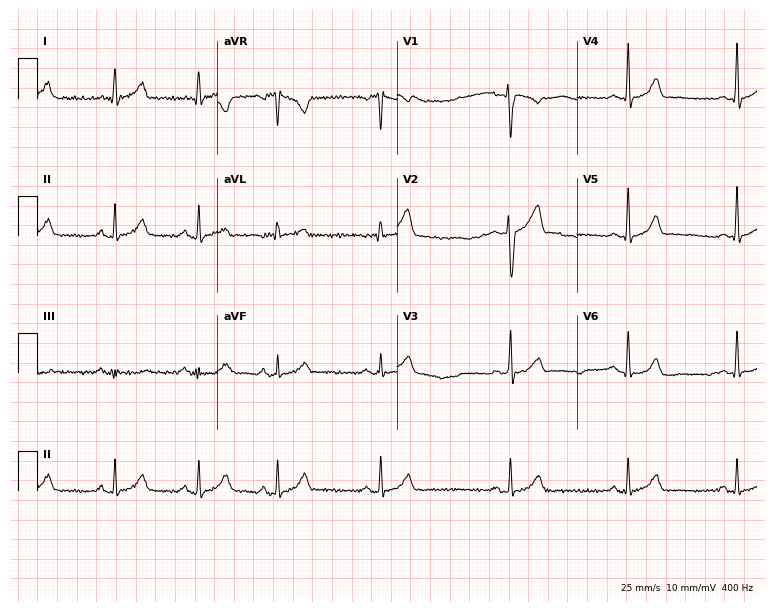
12-lead ECG from a female patient, 45 years old. Labelled as a normal ECG.